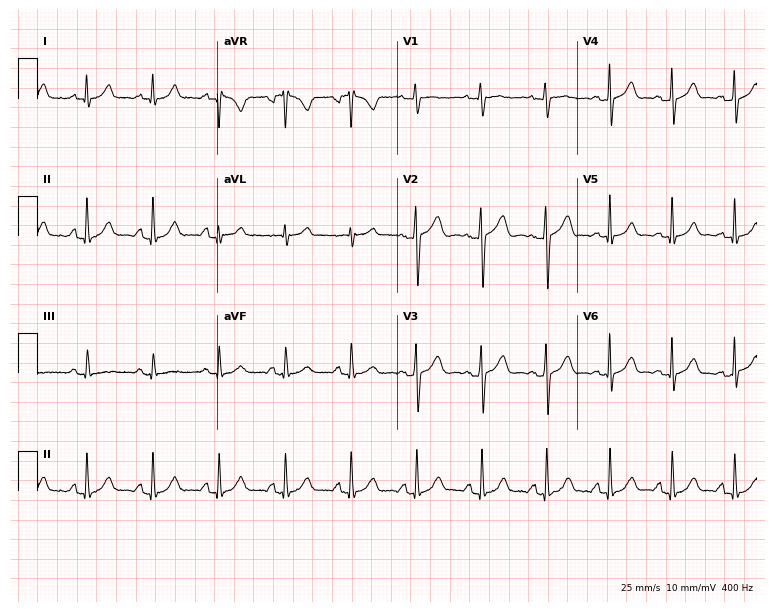
Standard 12-lead ECG recorded from a 37-year-old woman (7.3-second recording at 400 Hz). Read as a normal ECG.